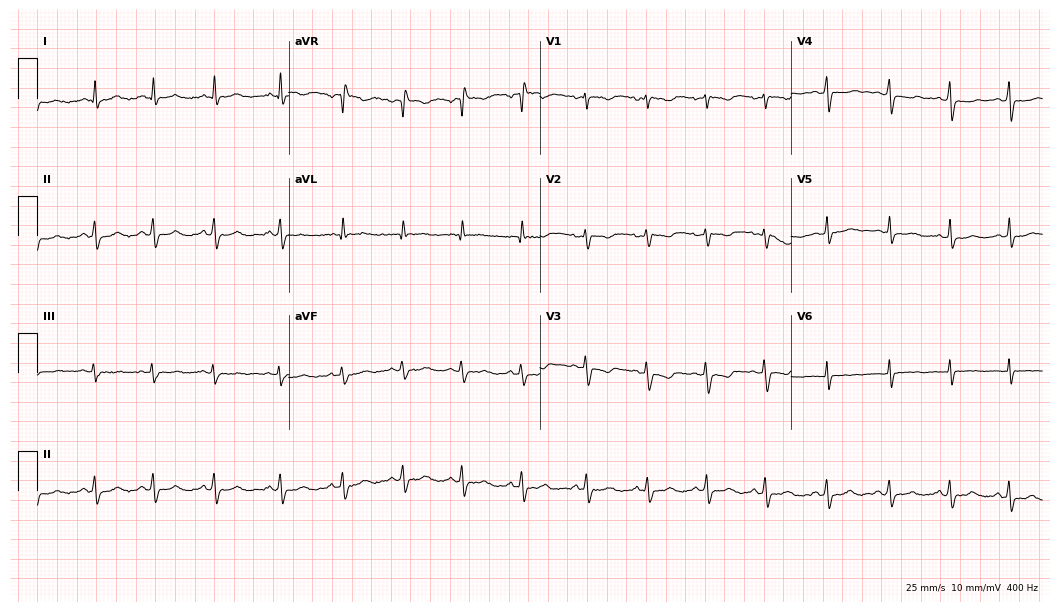
12-lead ECG (10.2-second recording at 400 Hz) from a 35-year-old female patient. Screened for six findings — first-degree AV block, right bundle branch block, left bundle branch block, sinus bradycardia, atrial fibrillation, sinus tachycardia — none is recorded.